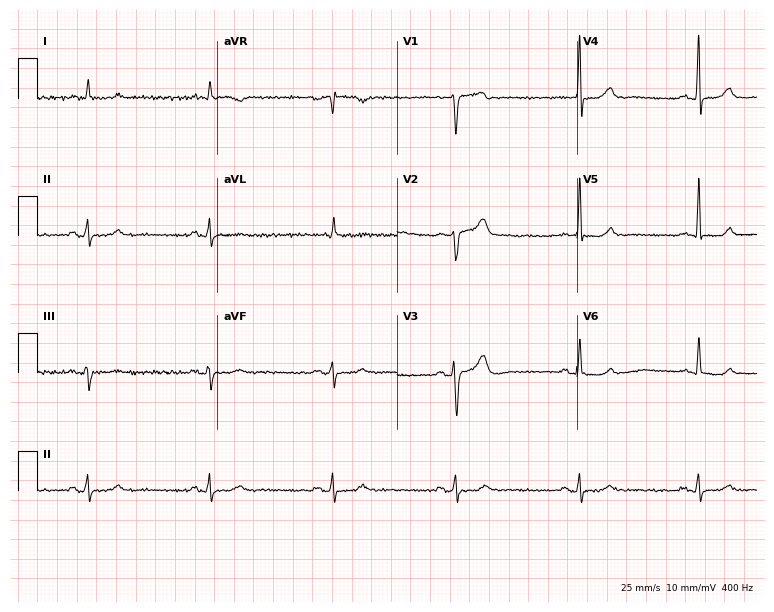
ECG — a male, 64 years old. Findings include sinus bradycardia (a sinus rate of 50 beats per minute or less).